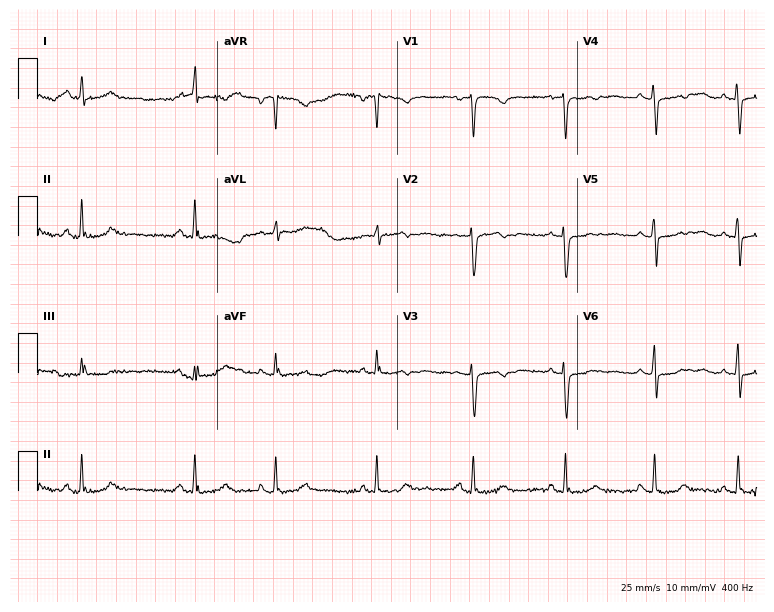
Resting 12-lead electrocardiogram (7.3-second recording at 400 Hz). Patient: a female, 63 years old. None of these six findings is recorded: first-degree AV block, right bundle branch block, left bundle branch block, sinus bradycardia, atrial fibrillation, sinus tachycardia. Only these six findings were labelled.